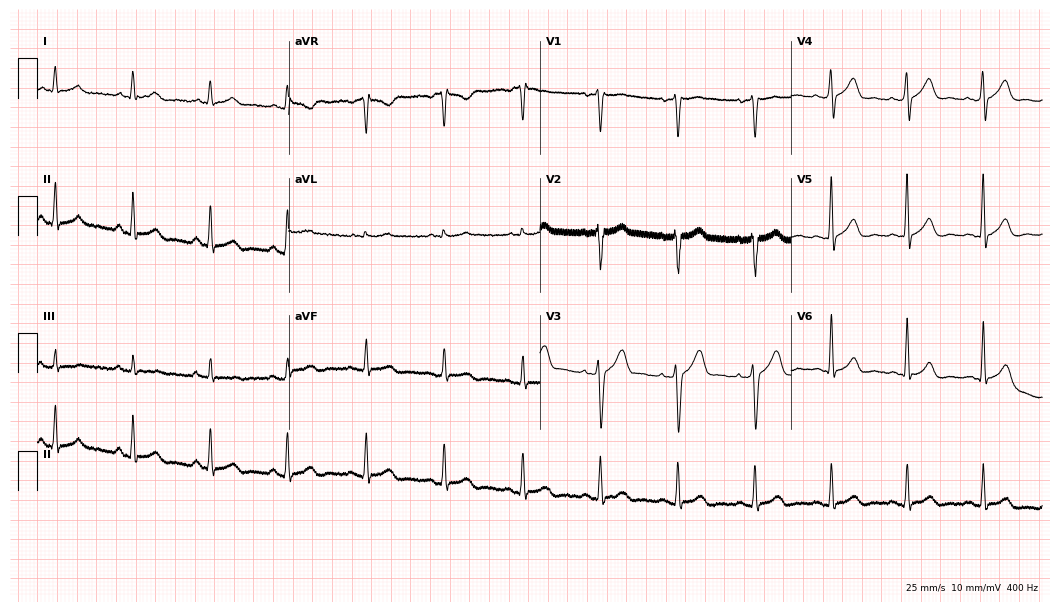
Electrocardiogram (10.2-second recording at 400 Hz), a 58-year-old male patient. Overall reading on record: normal ECG.